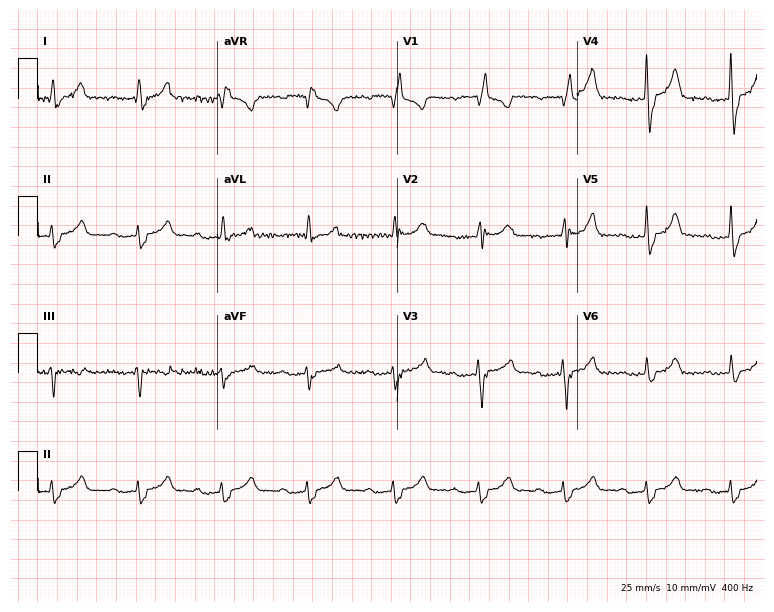
Electrocardiogram (7.3-second recording at 400 Hz), a 69-year-old male. Interpretation includes first-degree AV block, right bundle branch block (RBBB).